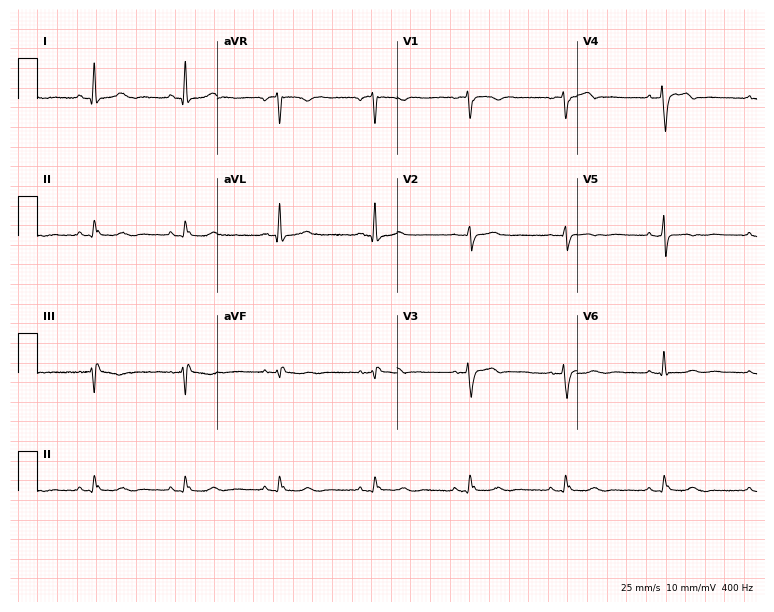
12-lead ECG from a 60-year-old female (7.3-second recording at 400 Hz). No first-degree AV block, right bundle branch block, left bundle branch block, sinus bradycardia, atrial fibrillation or sinus tachycardia recorded for this tracing.